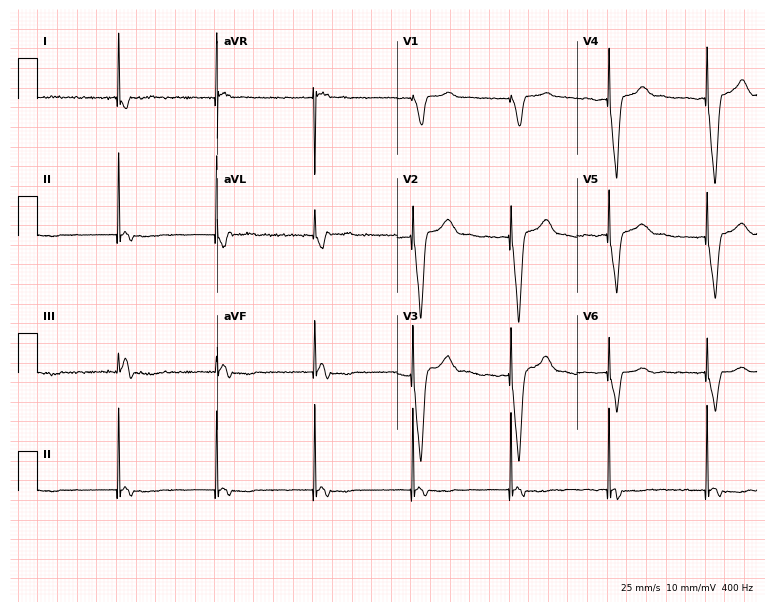
12-lead ECG from an 80-year-old man. Screened for six findings — first-degree AV block, right bundle branch block, left bundle branch block, sinus bradycardia, atrial fibrillation, sinus tachycardia — none is recorded.